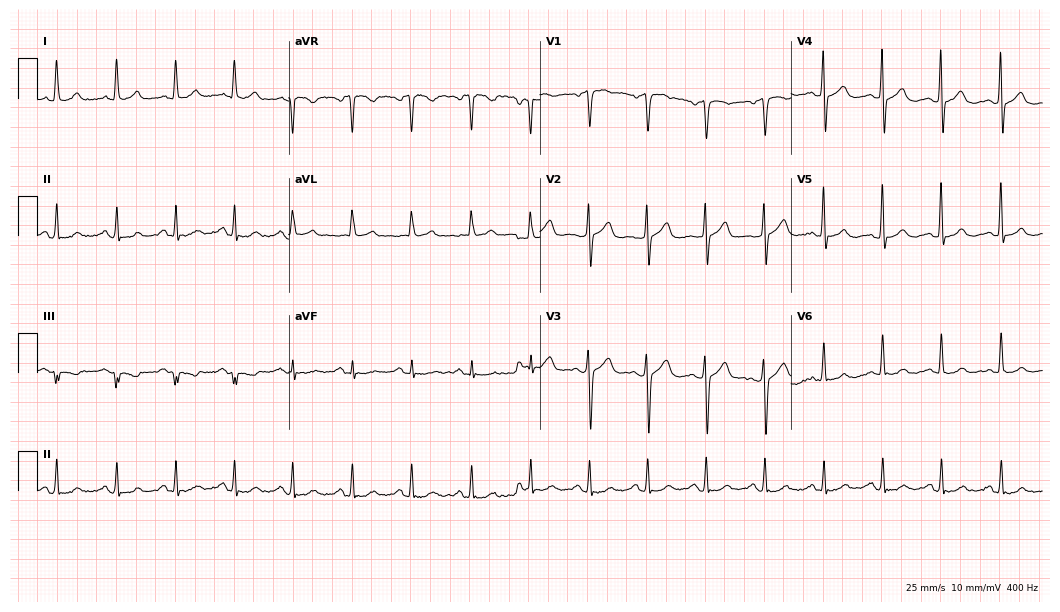
Resting 12-lead electrocardiogram (10.2-second recording at 400 Hz). Patient: a 53-year-old male. None of these six findings is recorded: first-degree AV block, right bundle branch block, left bundle branch block, sinus bradycardia, atrial fibrillation, sinus tachycardia. Only these six findings were labelled.